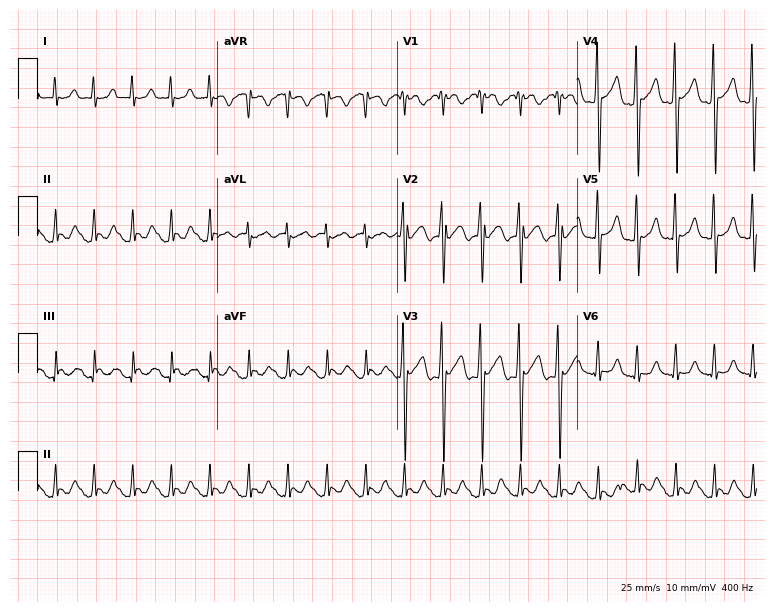
12-lead ECG from a 47-year-old male. Screened for six findings — first-degree AV block, right bundle branch block, left bundle branch block, sinus bradycardia, atrial fibrillation, sinus tachycardia — none is recorded. Only these six findings were labelled.